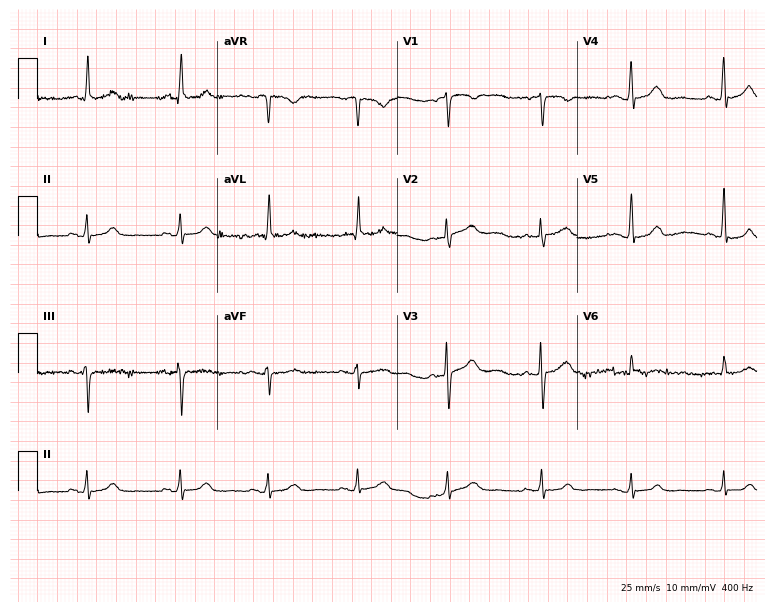
12-lead ECG from a female, 77 years old. Labelled as a normal ECG.